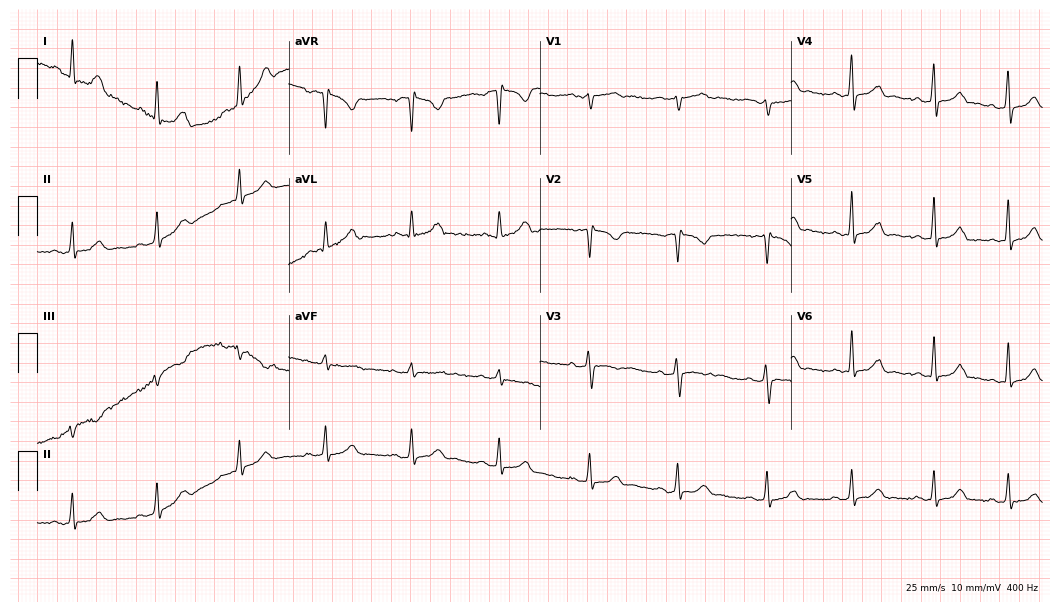
Resting 12-lead electrocardiogram. Patient: a woman, 29 years old. Read as a normal ECG.